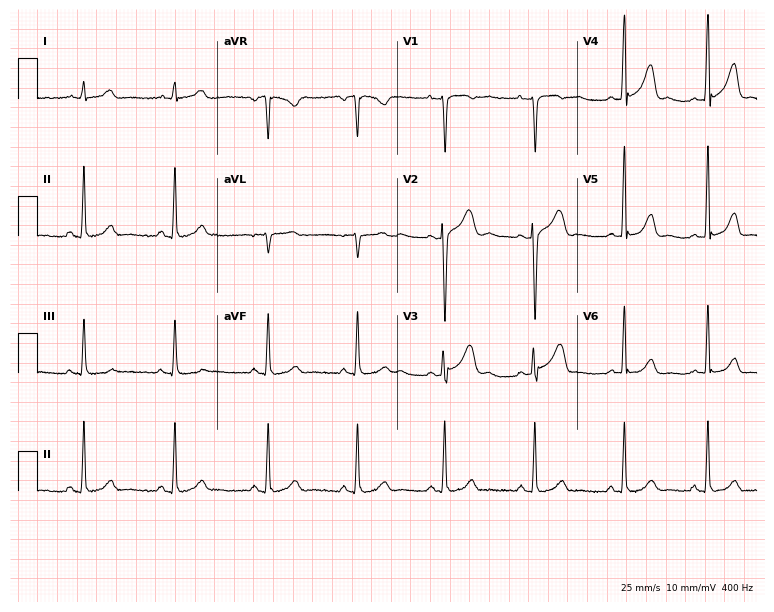
Electrocardiogram (7.3-second recording at 400 Hz), a woman, 27 years old. Overall reading on record: normal ECG.